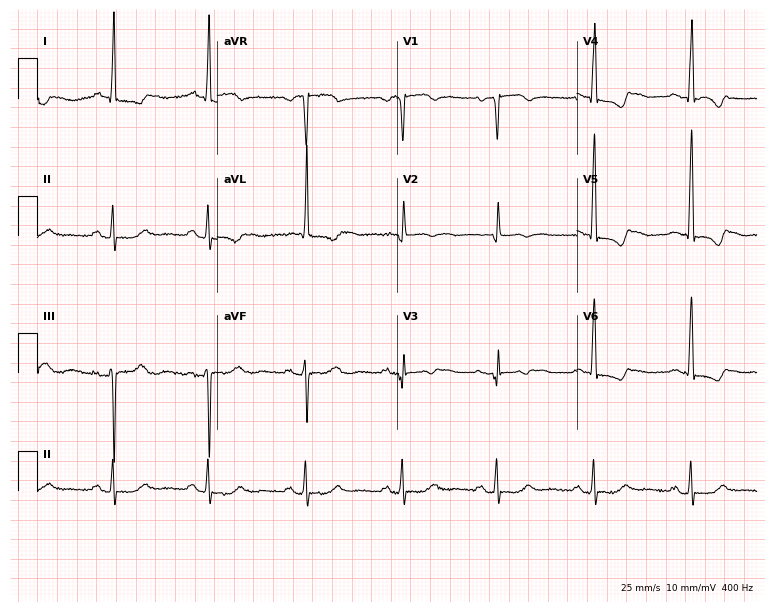
Electrocardiogram (7.3-second recording at 400 Hz), a 63-year-old female patient. Of the six screened findings (first-degree AV block, right bundle branch block, left bundle branch block, sinus bradycardia, atrial fibrillation, sinus tachycardia), none is recorded. Other findings, if any, are not listed.